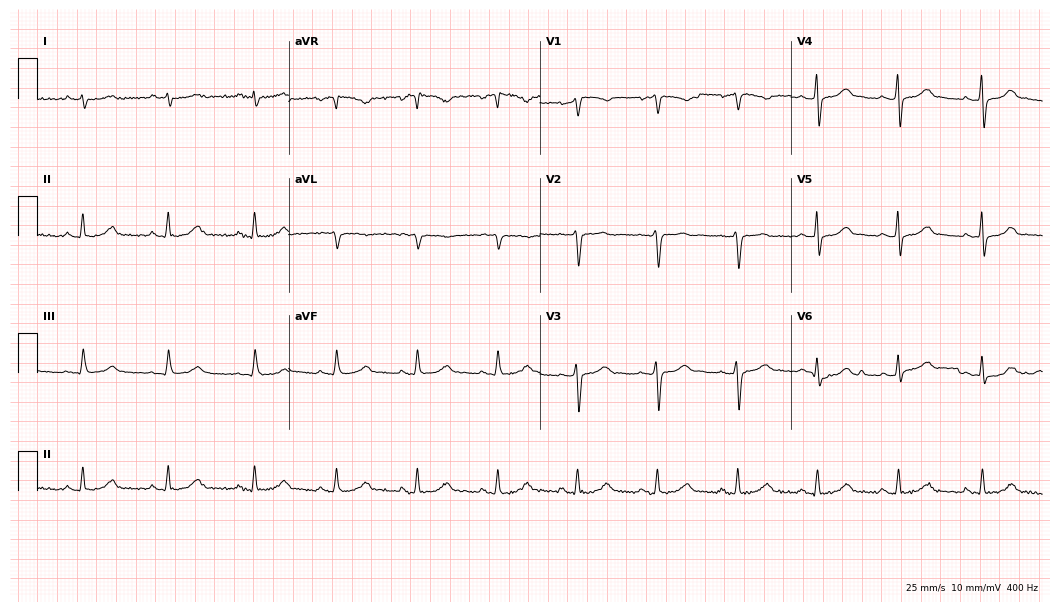
Resting 12-lead electrocardiogram (10.2-second recording at 400 Hz). Patient: a 39-year-old man. None of these six findings is recorded: first-degree AV block, right bundle branch block (RBBB), left bundle branch block (LBBB), sinus bradycardia, atrial fibrillation (AF), sinus tachycardia. Only these six findings were labelled.